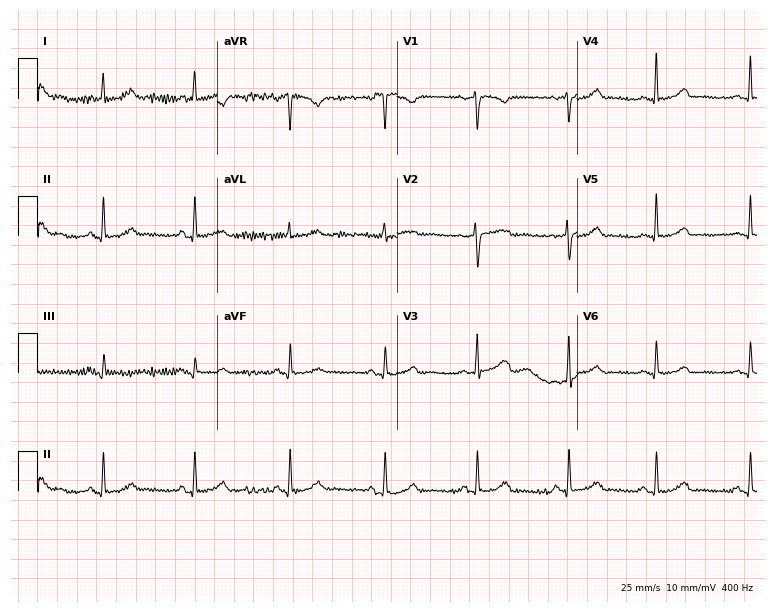
ECG (7.3-second recording at 400 Hz) — a female, 37 years old. Screened for six findings — first-degree AV block, right bundle branch block, left bundle branch block, sinus bradycardia, atrial fibrillation, sinus tachycardia — none is recorded. Other findings, if any, are not listed.